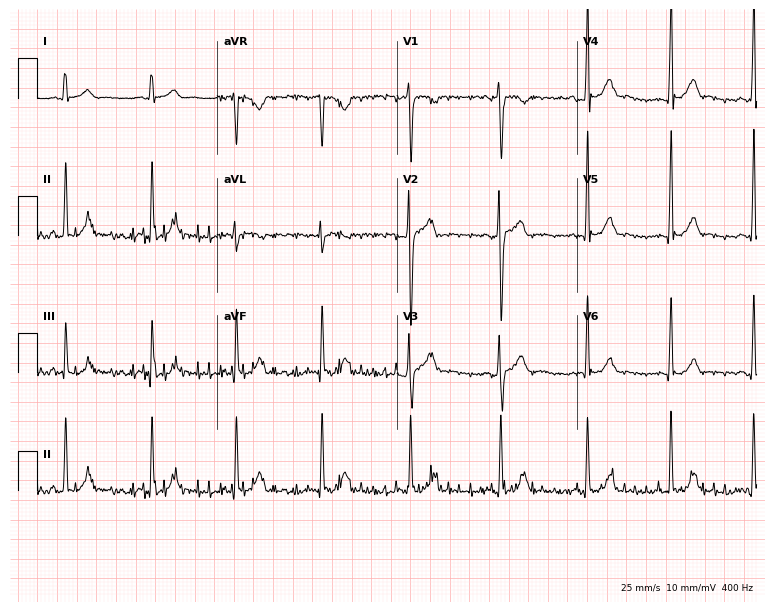
Resting 12-lead electrocardiogram (7.3-second recording at 400 Hz). Patient: a man, 27 years old. Read as a normal ECG.